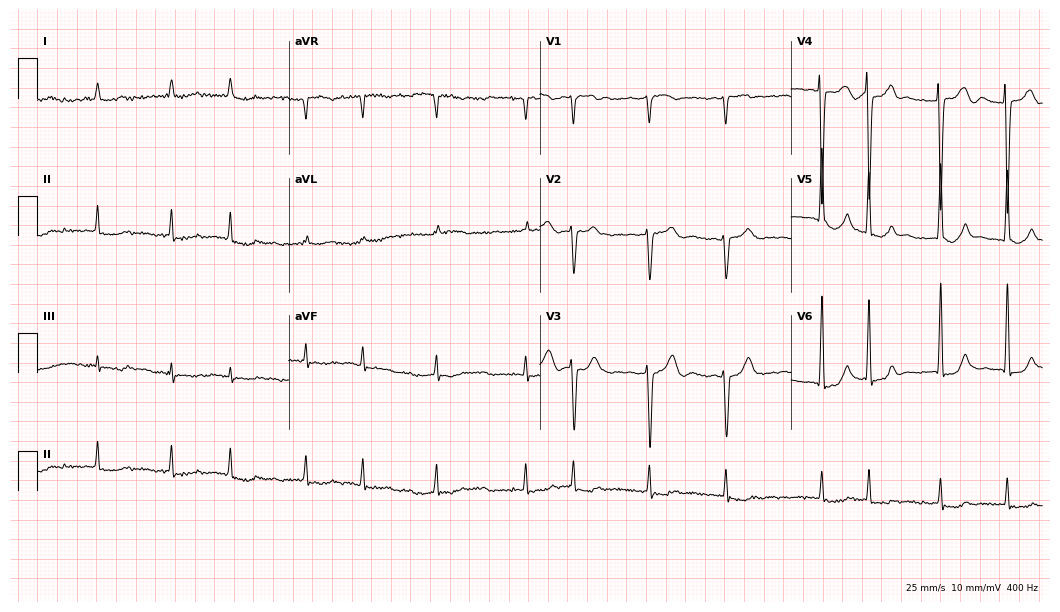
Resting 12-lead electrocardiogram. Patient: a male, 83 years old. The tracing shows atrial fibrillation (AF).